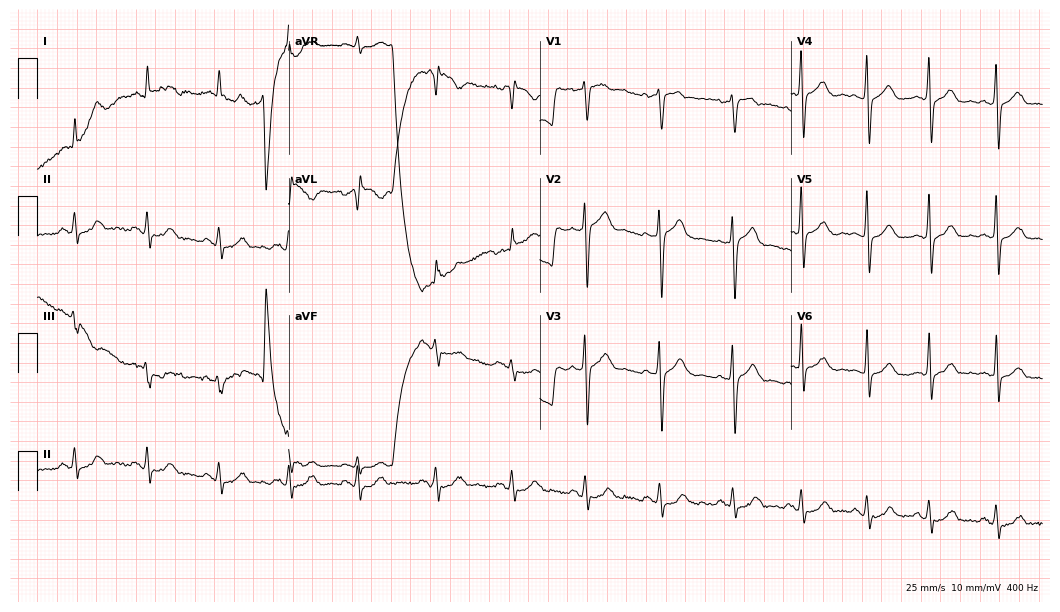
Electrocardiogram, a 48-year-old man. Of the six screened findings (first-degree AV block, right bundle branch block, left bundle branch block, sinus bradycardia, atrial fibrillation, sinus tachycardia), none is recorded. Findings outside these six are not listed.